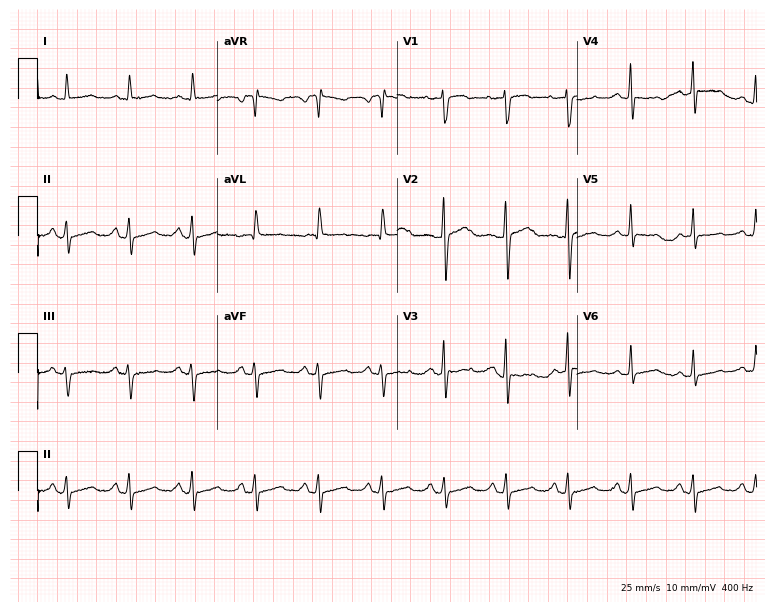
Resting 12-lead electrocardiogram (7.3-second recording at 400 Hz). Patient: a 59-year-old woman. Read as a normal ECG.